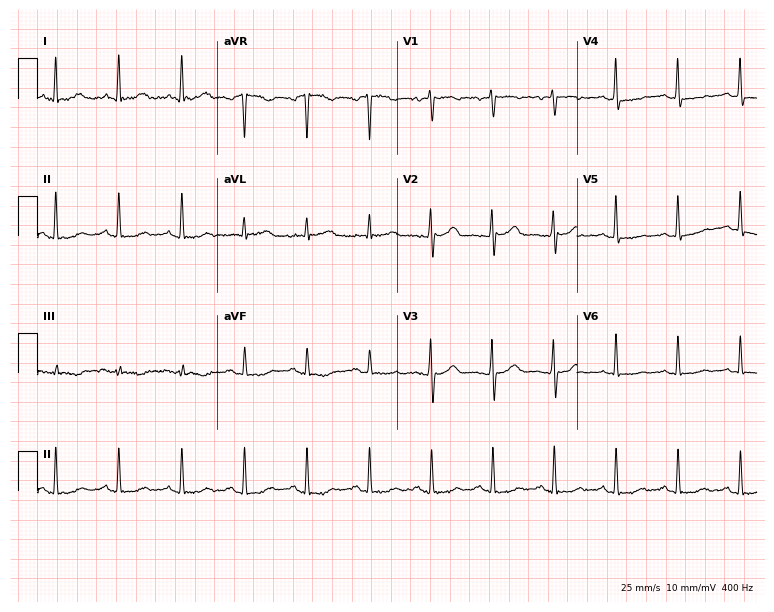
Resting 12-lead electrocardiogram (7.3-second recording at 400 Hz). Patient: a 59-year-old woman. None of these six findings is recorded: first-degree AV block, right bundle branch block, left bundle branch block, sinus bradycardia, atrial fibrillation, sinus tachycardia. Other findings, if any, are not listed.